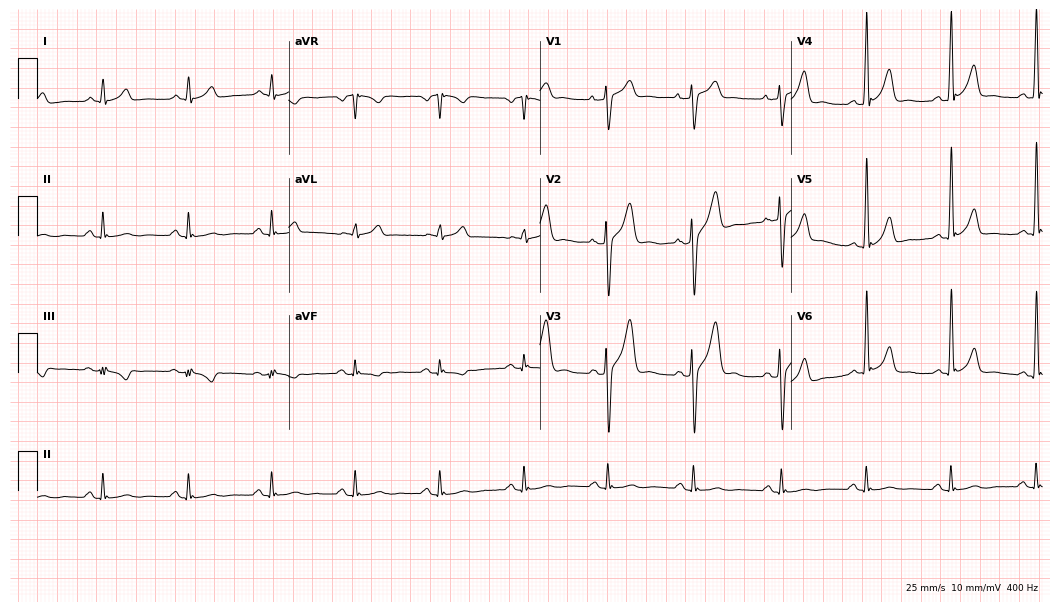
Resting 12-lead electrocardiogram (10.2-second recording at 400 Hz). Patient: a 39-year-old male. None of these six findings is recorded: first-degree AV block, right bundle branch block (RBBB), left bundle branch block (LBBB), sinus bradycardia, atrial fibrillation (AF), sinus tachycardia. Only these six findings were labelled.